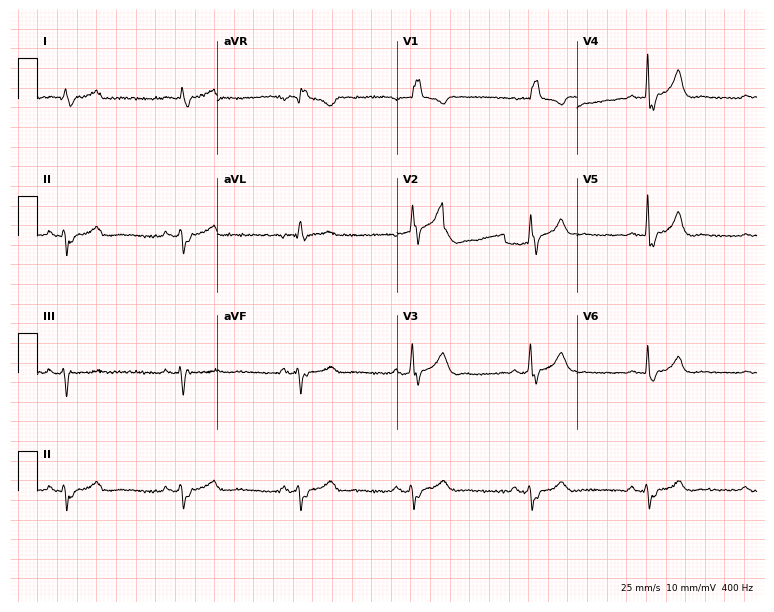
ECG — a man, 61 years old. Findings include right bundle branch block.